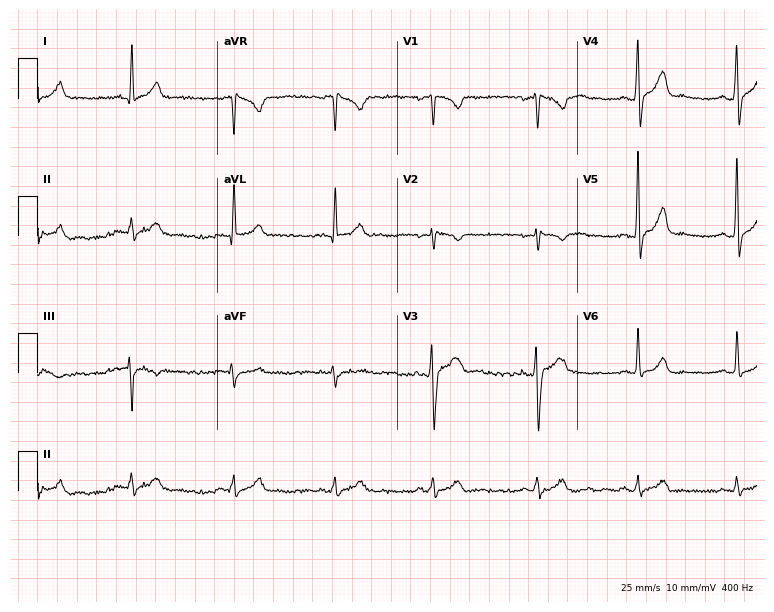
Electrocardiogram, a male patient, 28 years old. Overall reading on record: normal ECG.